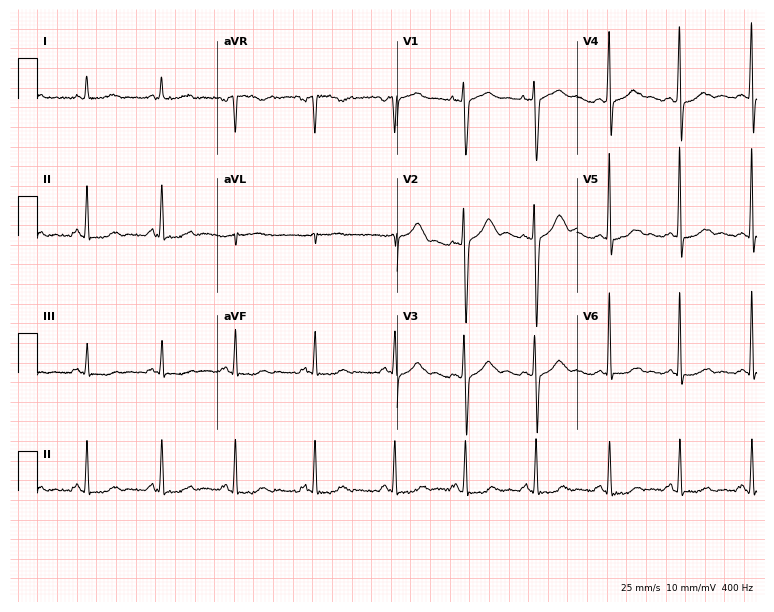
Electrocardiogram, a female patient, 45 years old. Of the six screened findings (first-degree AV block, right bundle branch block (RBBB), left bundle branch block (LBBB), sinus bradycardia, atrial fibrillation (AF), sinus tachycardia), none is recorded. Other findings, if any, are not listed.